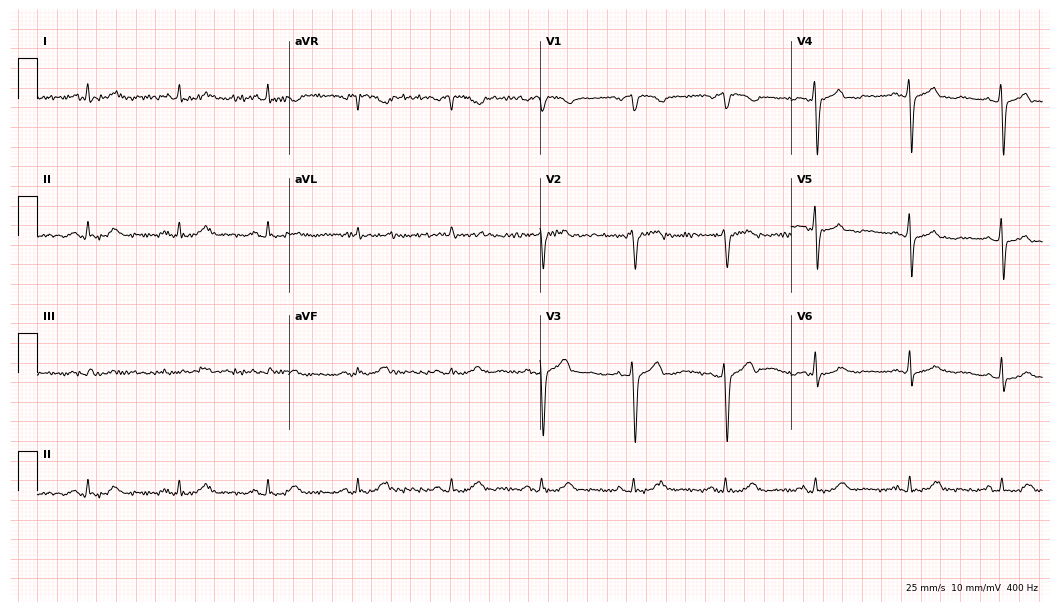
12-lead ECG (10.2-second recording at 400 Hz) from a male, 69 years old. Screened for six findings — first-degree AV block, right bundle branch block, left bundle branch block, sinus bradycardia, atrial fibrillation, sinus tachycardia — none is recorded.